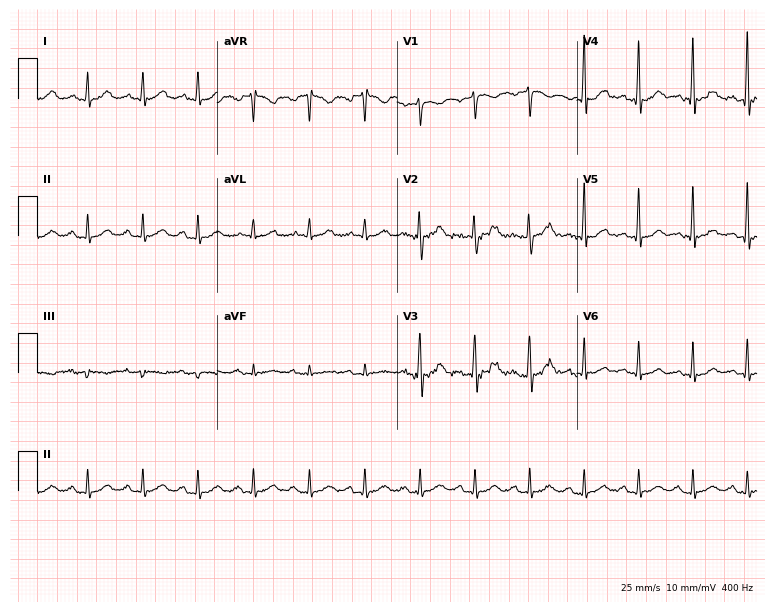
12-lead ECG from a man, 36 years old (7.3-second recording at 400 Hz). Shows sinus tachycardia (a sinus rate of 100 beats per minute or more).